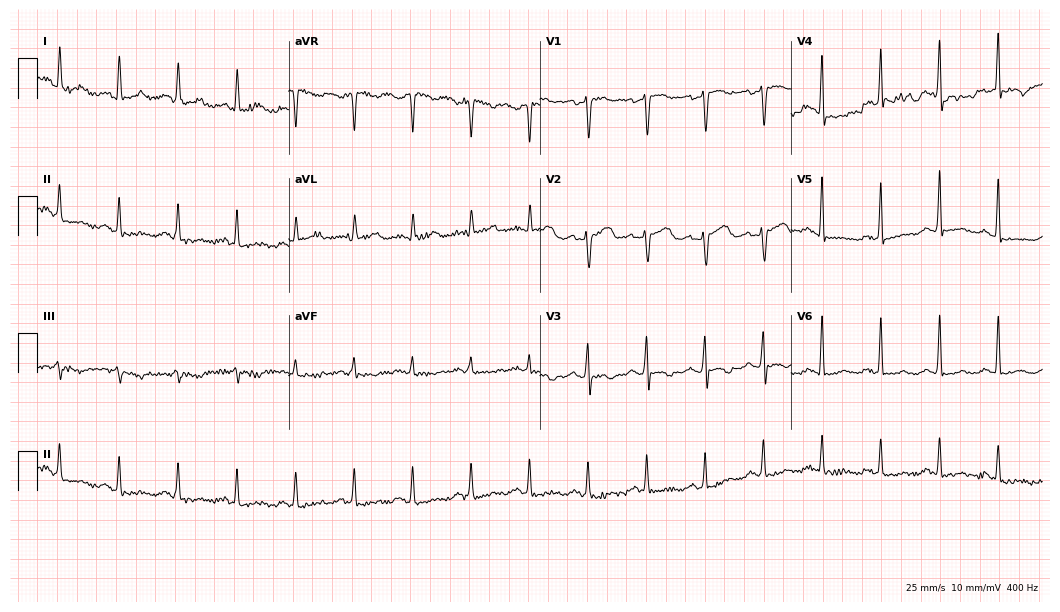
ECG — a 53-year-old female. Screened for six findings — first-degree AV block, right bundle branch block, left bundle branch block, sinus bradycardia, atrial fibrillation, sinus tachycardia — none is recorded.